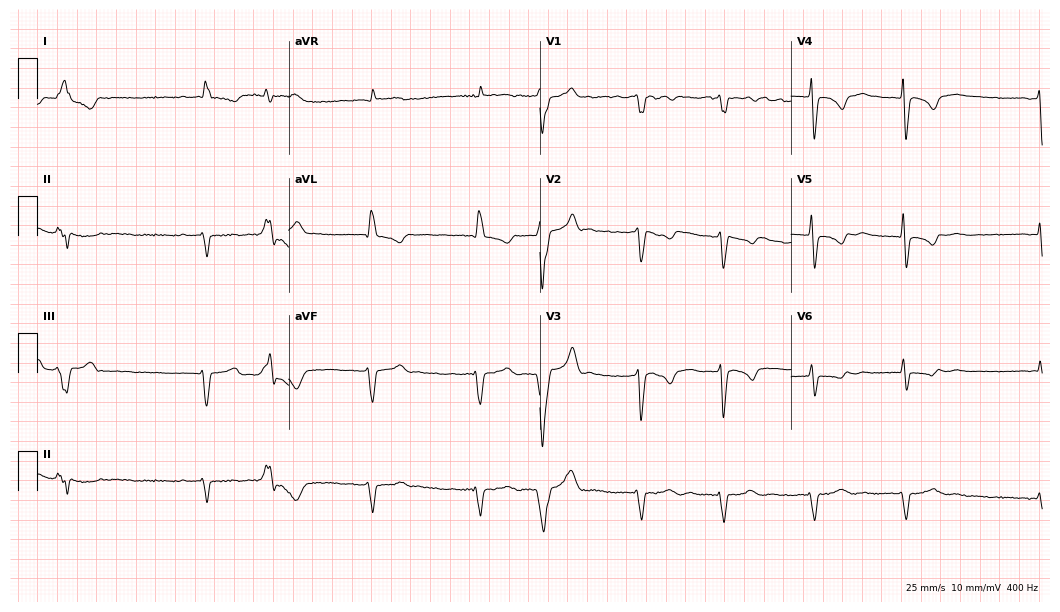
ECG (10.2-second recording at 400 Hz) — a woman, 74 years old. Screened for six findings — first-degree AV block, right bundle branch block (RBBB), left bundle branch block (LBBB), sinus bradycardia, atrial fibrillation (AF), sinus tachycardia — none is recorded. Findings outside these six are not listed.